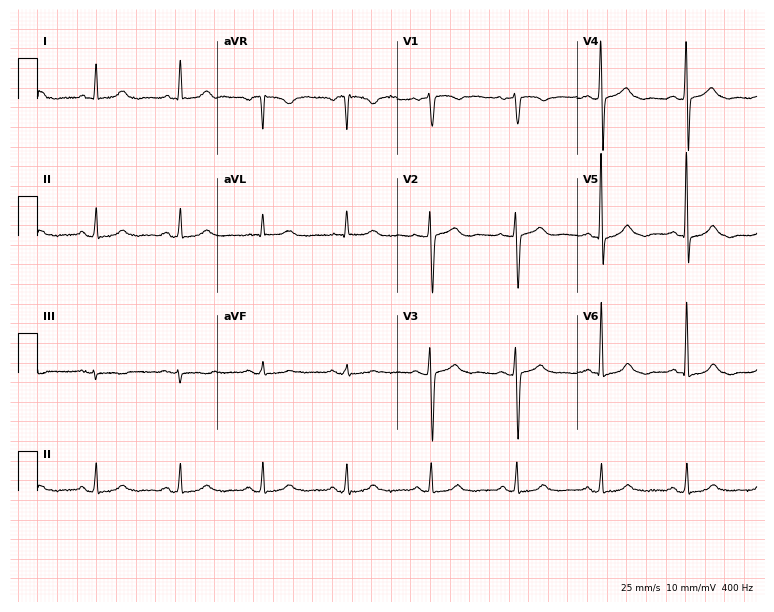
12-lead ECG from an 85-year-old woman. Recorded interpretation: within normal limits.